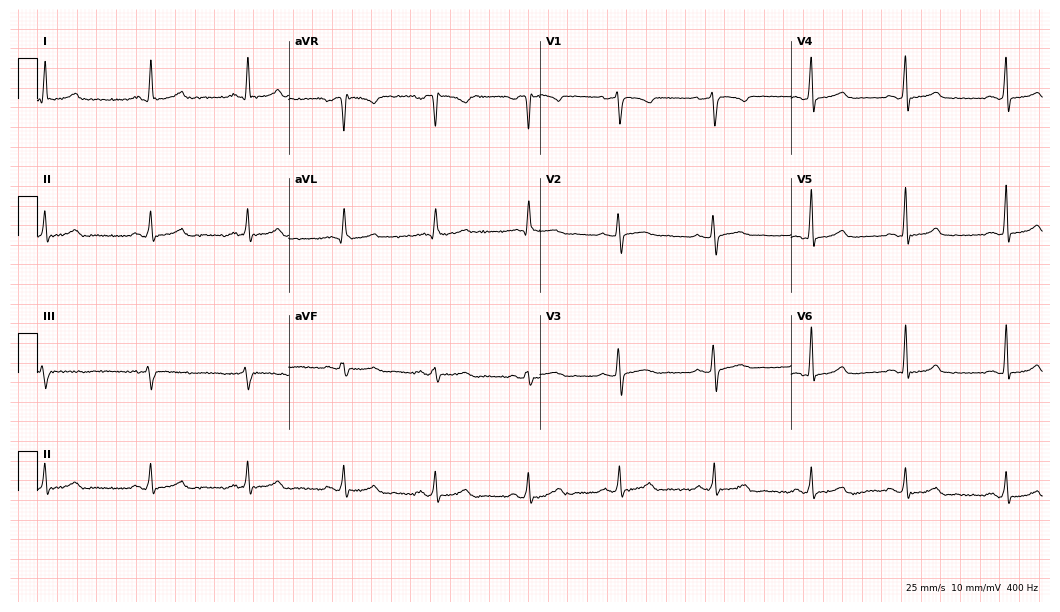
ECG — a female patient, 33 years old. Screened for six findings — first-degree AV block, right bundle branch block, left bundle branch block, sinus bradycardia, atrial fibrillation, sinus tachycardia — none is recorded. Findings outside these six are not listed.